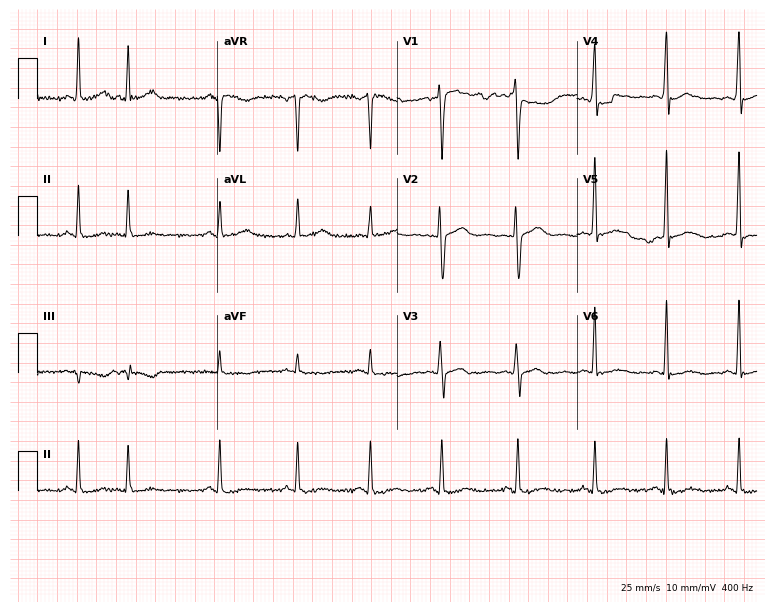
Resting 12-lead electrocardiogram. Patient: a 46-year-old female. None of these six findings is recorded: first-degree AV block, right bundle branch block (RBBB), left bundle branch block (LBBB), sinus bradycardia, atrial fibrillation (AF), sinus tachycardia. Findings outside these six are not listed.